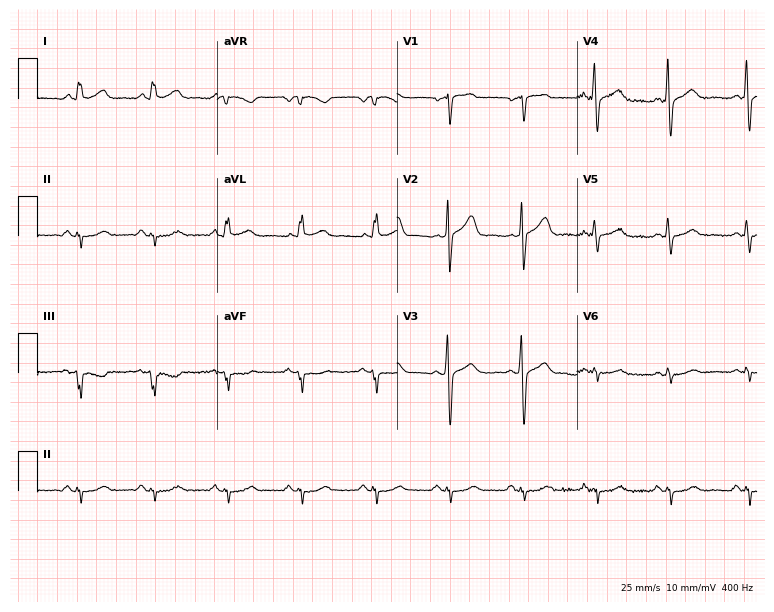
ECG (7.3-second recording at 400 Hz) — a male patient, 69 years old. Screened for six findings — first-degree AV block, right bundle branch block, left bundle branch block, sinus bradycardia, atrial fibrillation, sinus tachycardia — none is recorded. Findings outside these six are not listed.